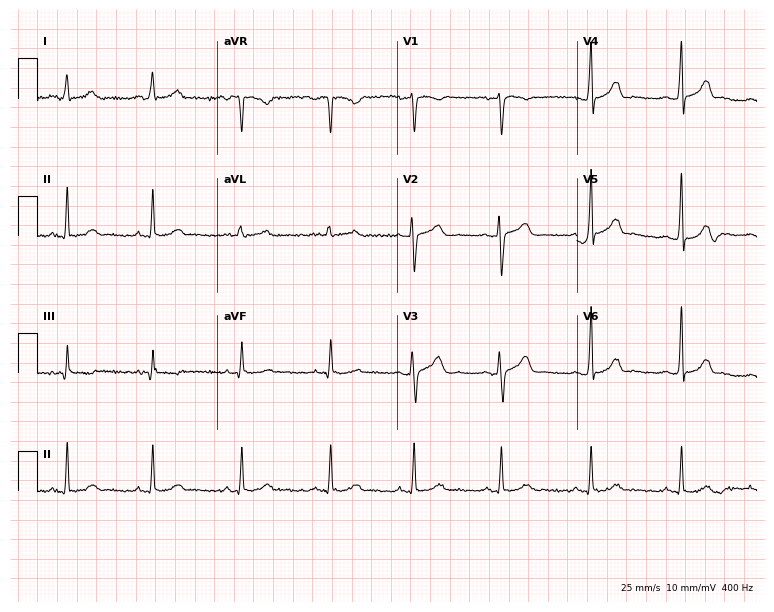
Resting 12-lead electrocardiogram. Patient: a 37-year-old female. Read as a normal ECG.